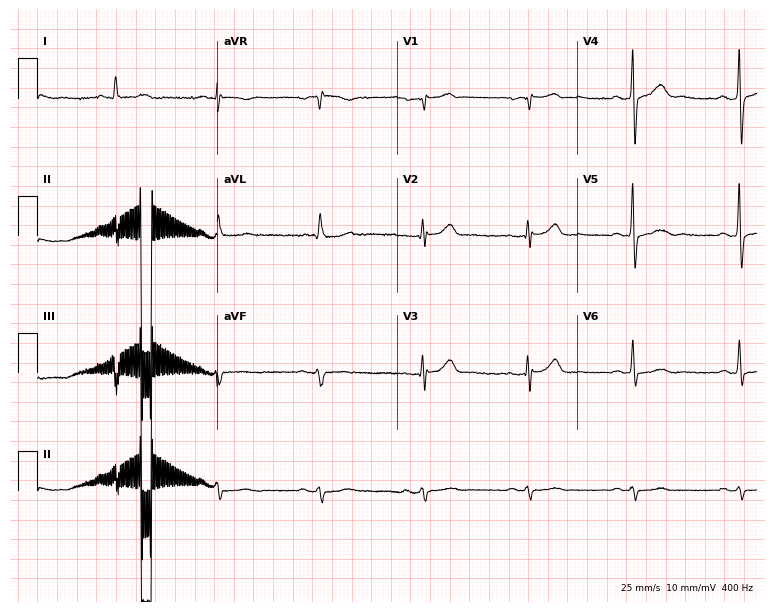
ECG — a 63-year-old male. Screened for six findings — first-degree AV block, right bundle branch block, left bundle branch block, sinus bradycardia, atrial fibrillation, sinus tachycardia — none is recorded. Only these six findings were labelled.